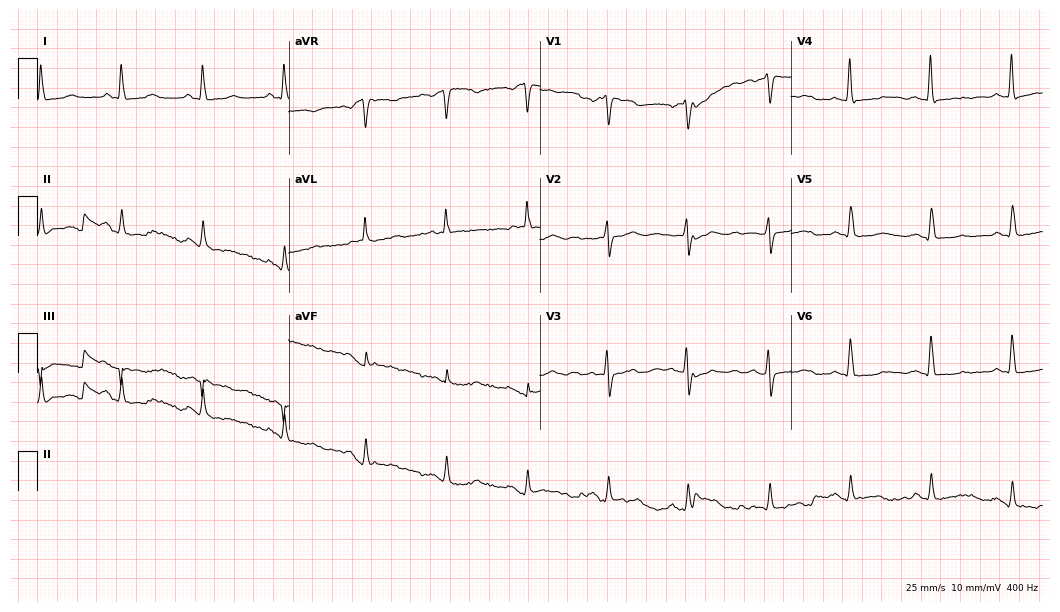
Resting 12-lead electrocardiogram (10.2-second recording at 400 Hz). Patient: a 67-year-old woman. Read as a normal ECG.